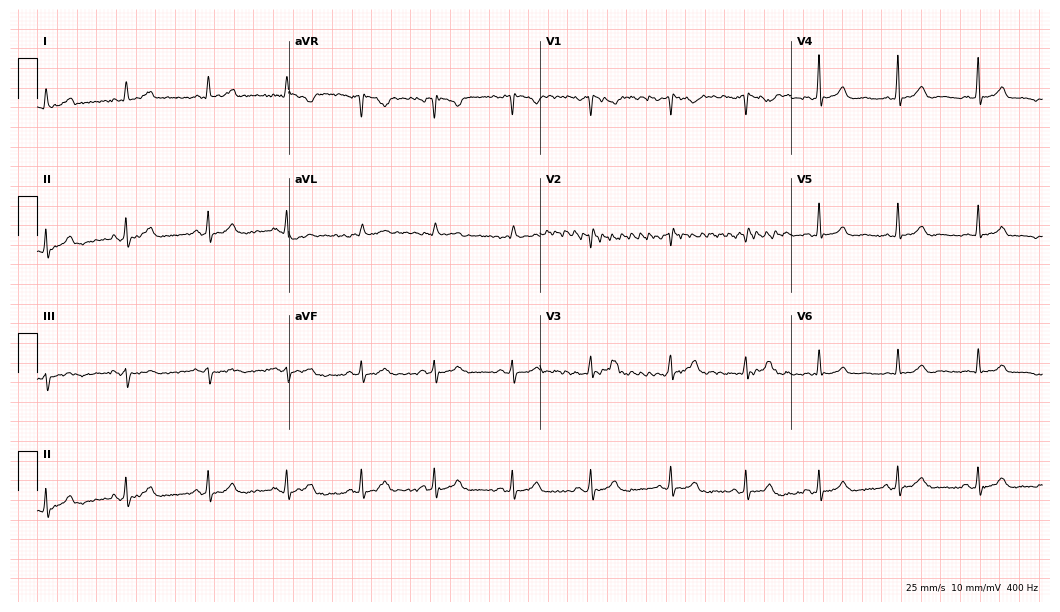
Resting 12-lead electrocardiogram (10.2-second recording at 400 Hz). Patient: a woman, 28 years old. Read as a normal ECG.